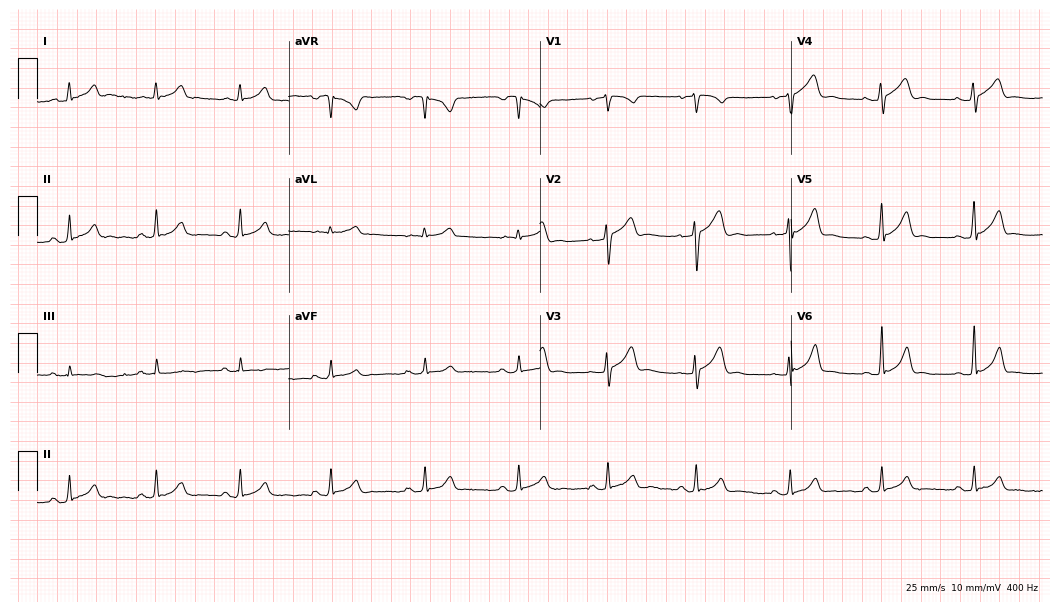
12-lead ECG from a 34-year-old man. Screened for six findings — first-degree AV block, right bundle branch block, left bundle branch block, sinus bradycardia, atrial fibrillation, sinus tachycardia — none is recorded.